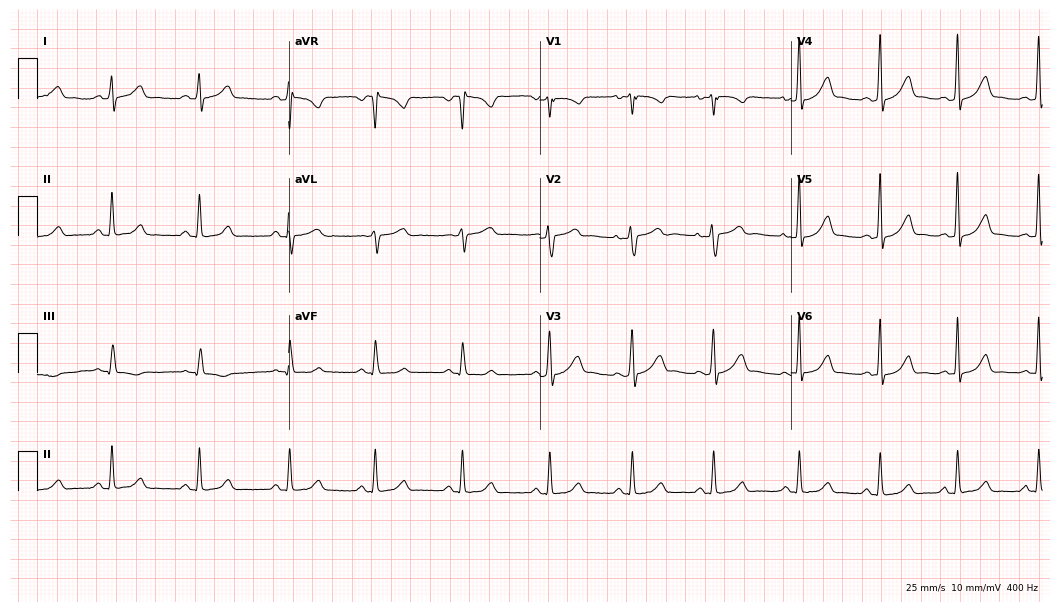
Electrocardiogram, a female, 27 years old. Overall reading on record: normal ECG.